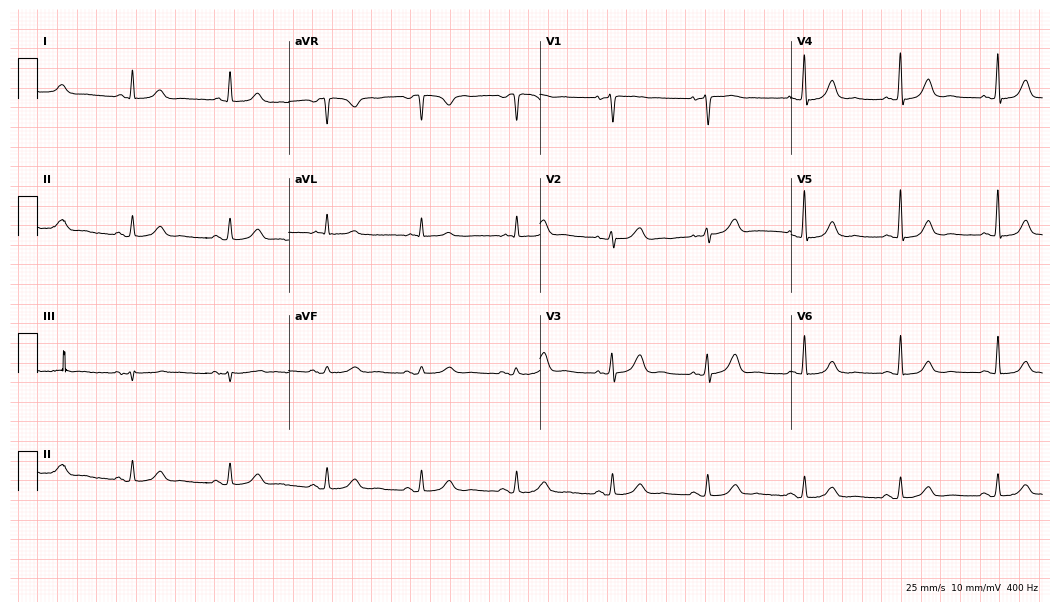
12-lead ECG from a 59-year-old female (10.2-second recording at 400 Hz). Recorded interpretation: within normal limits.